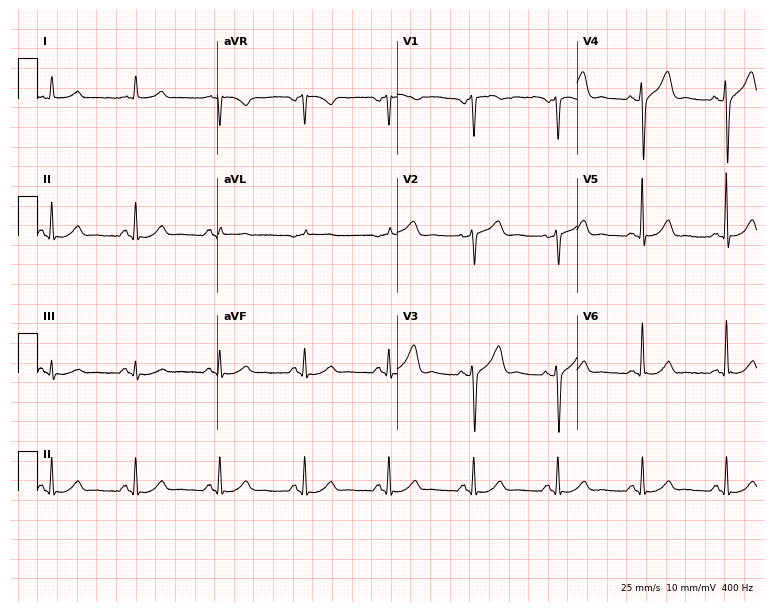
12-lead ECG (7.3-second recording at 400 Hz) from a male patient, 74 years old. Labelled as a normal ECG.